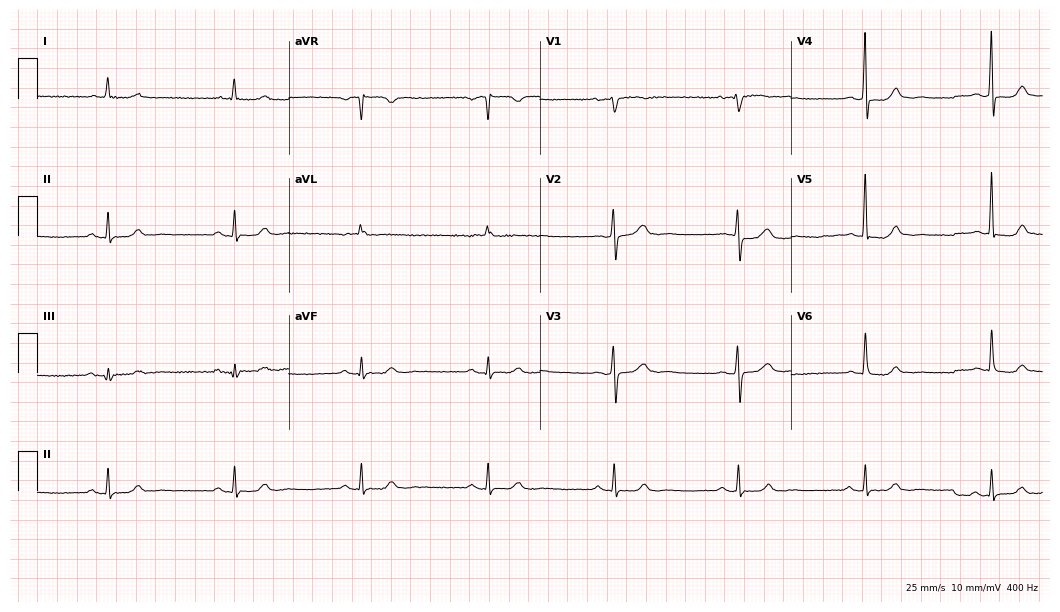
12-lead ECG (10.2-second recording at 400 Hz) from a female, 69 years old. Findings include sinus bradycardia (a sinus rate of 50 beats per minute or less).